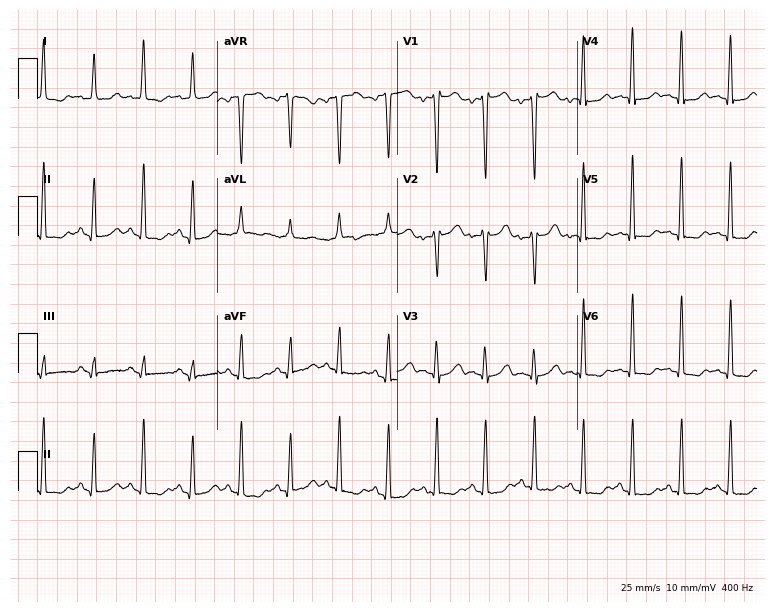
ECG (7.3-second recording at 400 Hz) — a female, 41 years old. Findings include sinus tachycardia (a sinus rate of 100 beats per minute or more).